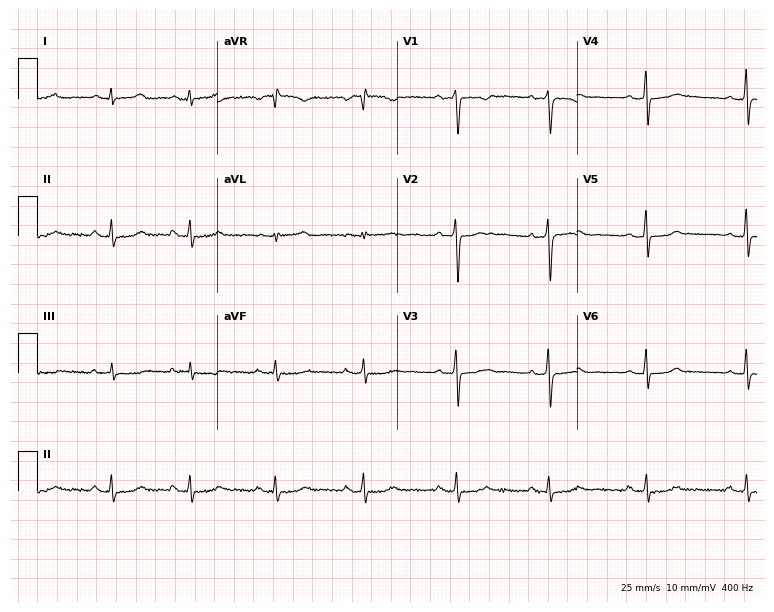
ECG — a 39-year-old female. Screened for six findings — first-degree AV block, right bundle branch block, left bundle branch block, sinus bradycardia, atrial fibrillation, sinus tachycardia — none is recorded.